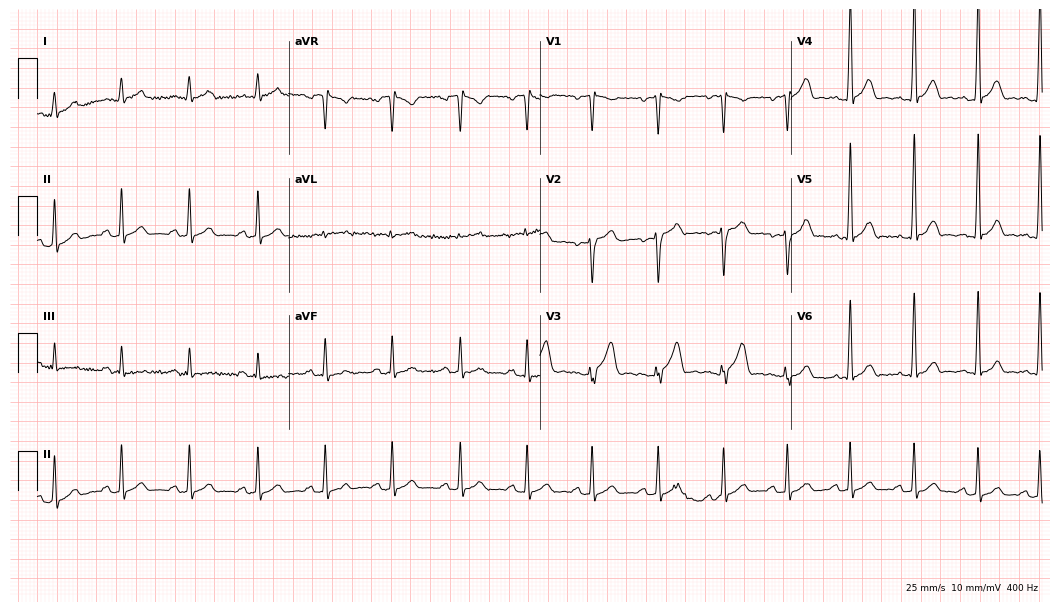
Electrocardiogram (10.2-second recording at 400 Hz), a 21-year-old man. Overall reading on record: normal ECG.